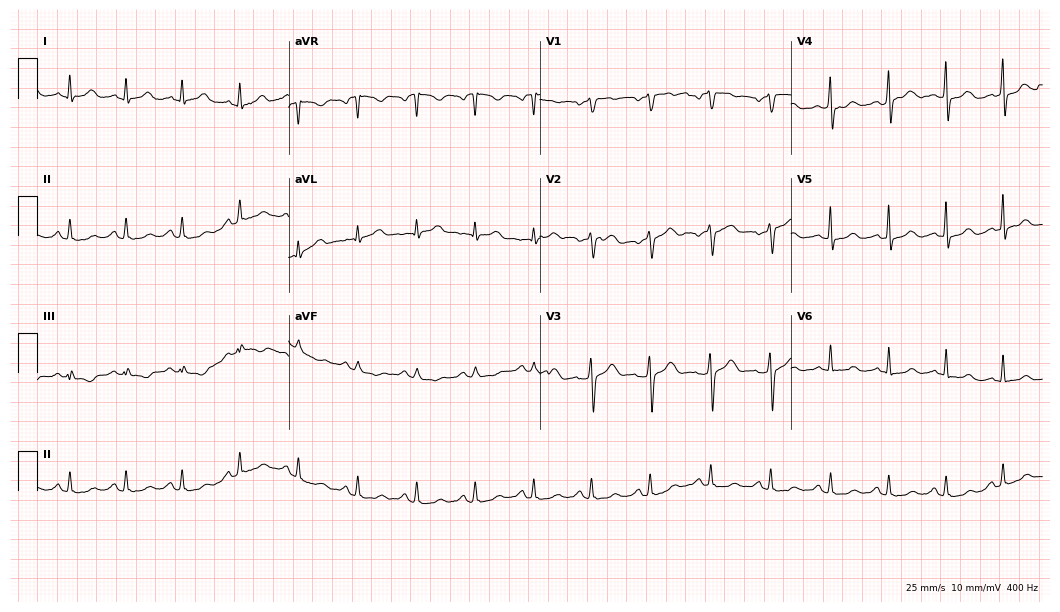
Resting 12-lead electrocardiogram (10.2-second recording at 400 Hz). Patient: a female, 46 years old. Read as a normal ECG.